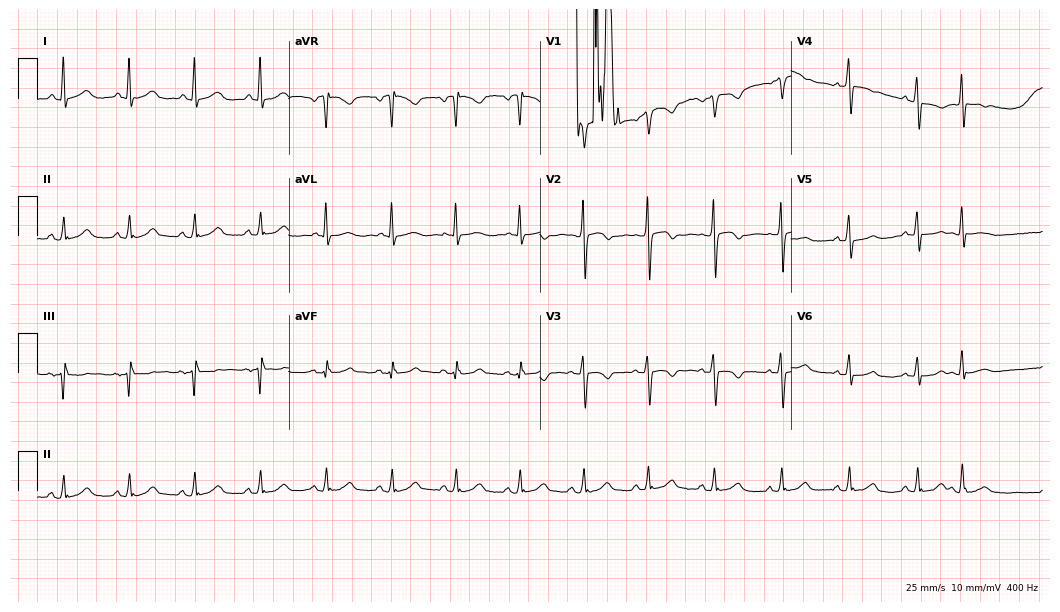
Electrocardiogram (10.2-second recording at 400 Hz), a woman, 52 years old. Of the six screened findings (first-degree AV block, right bundle branch block, left bundle branch block, sinus bradycardia, atrial fibrillation, sinus tachycardia), none is recorded.